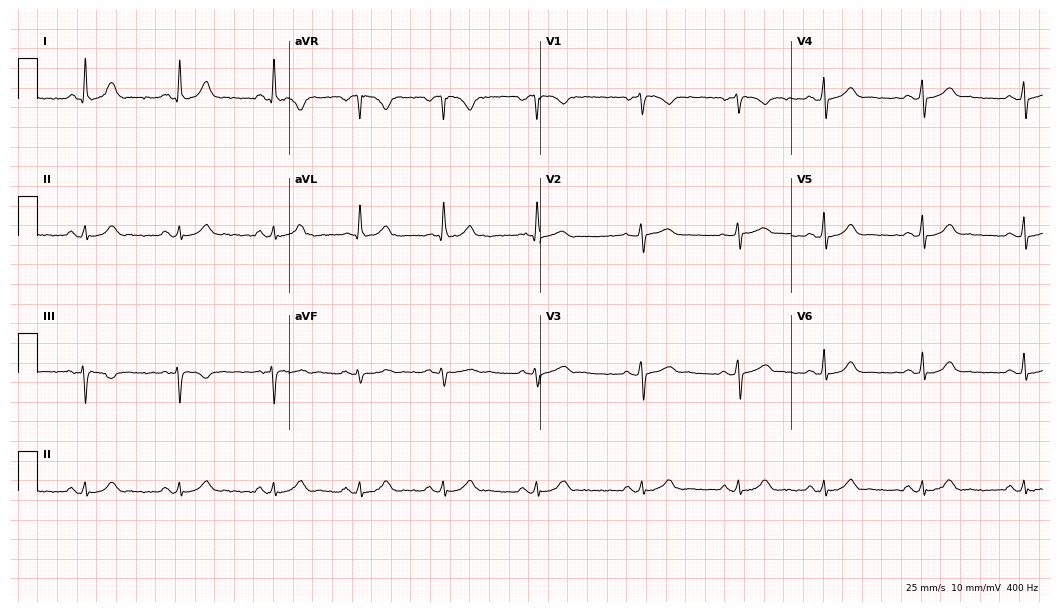
Standard 12-lead ECG recorded from a 40-year-old female. Read as a normal ECG.